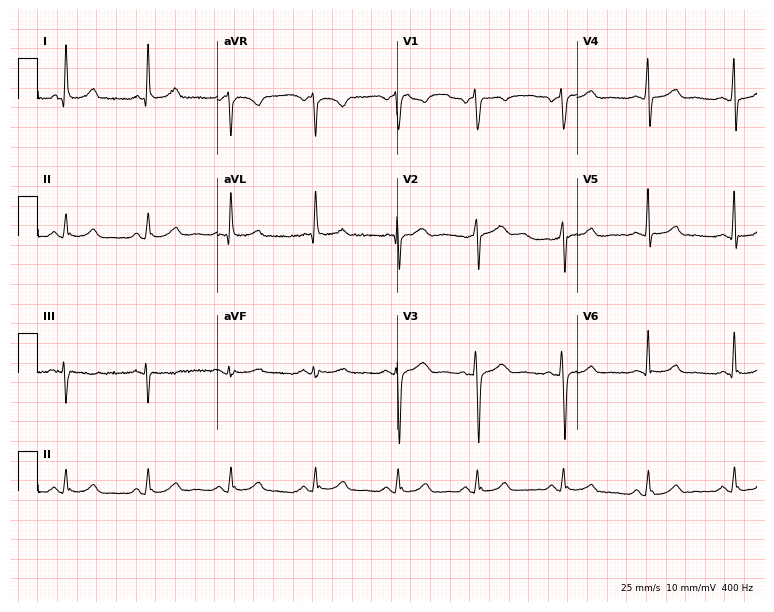
Electrocardiogram (7.3-second recording at 400 Hz), a woman, 58 years old. Of the six screened findings (first-degree AV block, right bundle branch block (RBBB), left bundle branch block (LBBB), sinus bradycardia, atrial fibrillation (AF), sinus tachycardia), none is recorded.